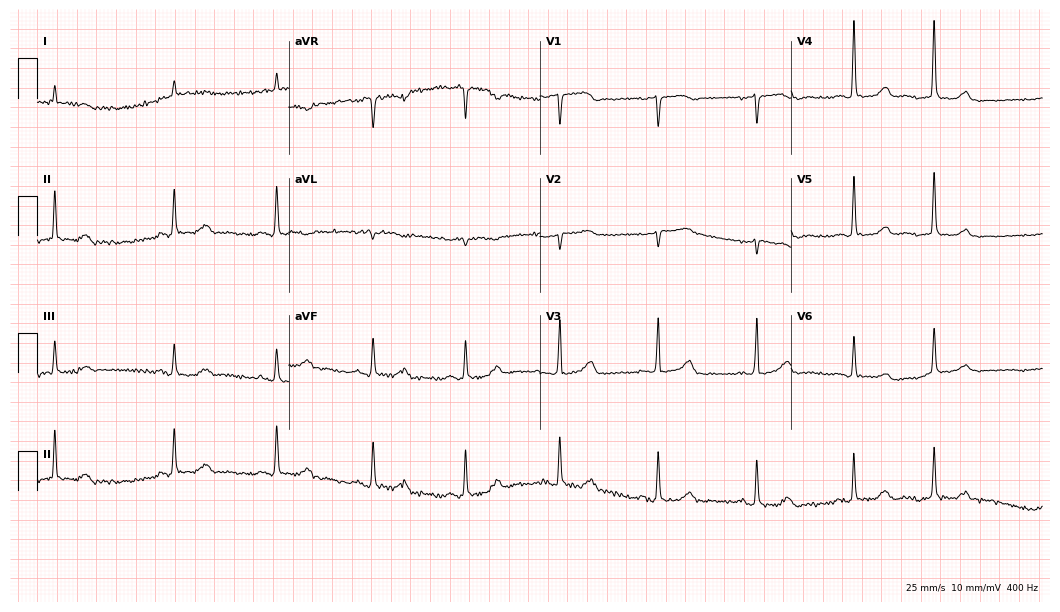
Standard 12-lead ECG recorded from an 83-year-old woman. None of these six findings is recorded: first-degree AV block, right bundle branch block, left bundle branch block, sinus bradycardia, atrial fibrillation, sinus tachycardia. Other findings, if any, are not listed.